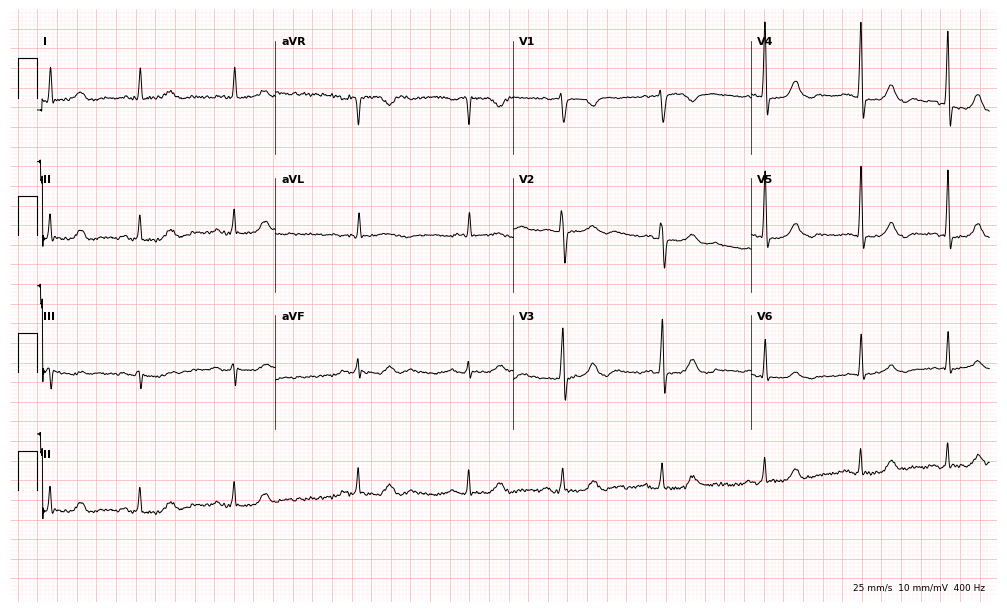
12-lead ECG from a male patient, 84 years old. No first-degree AV block, right bundle branch block, left bundle branch block, sinus bradycardia, atrial fibrillation or sinus tachycardia recorded for this tracing. Only these six findings were labelled.